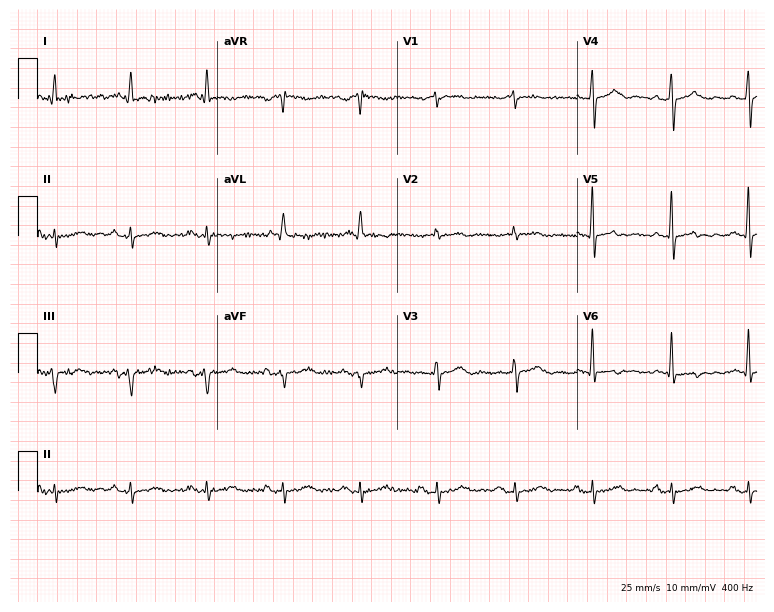
12-lead ECG (7.3-second recording at 400 Hz) from a male, 84 years old. Screened for six findings — first-degree AV block, right bundle branch block, left bundle branch block, sinus bradycardia, atrial fibrillation, sinus tachycardia — none is recorded. Findings outside these six are not listed.